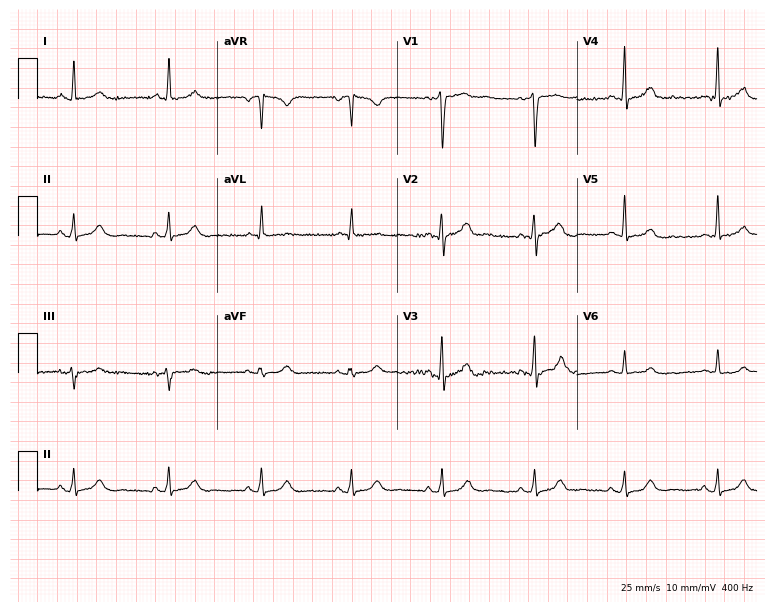
Electrocardiogram, a male, 45 years old. Of the six screened findings (first-degree AV block, right bundle branch block (RBBB), left bundle branch block (LBBB), sinus bradycardia, atrial fibrillation (AF), sinus tachycardia), none is recorded. Only these six findings were labelled.